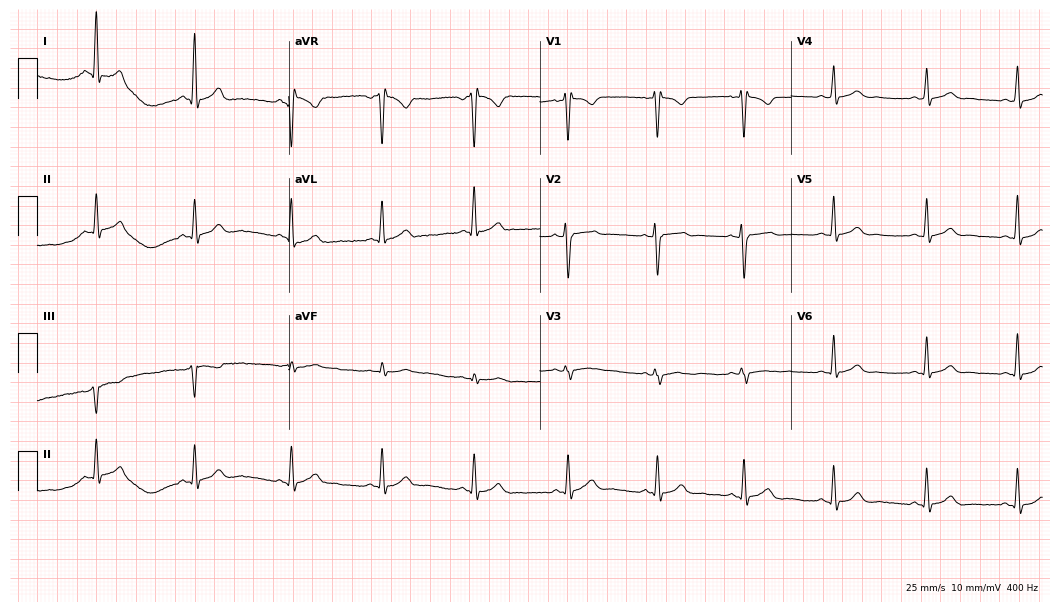
ECG (10.2-second recording at 400 Hz) — a woman, 31 years old. Screened for six findings — first-degree AV block, right bundle branch block, left bundle branch block, sinus bradycardia, atrial fibrillation, sinus tachycardia — none is recorded.